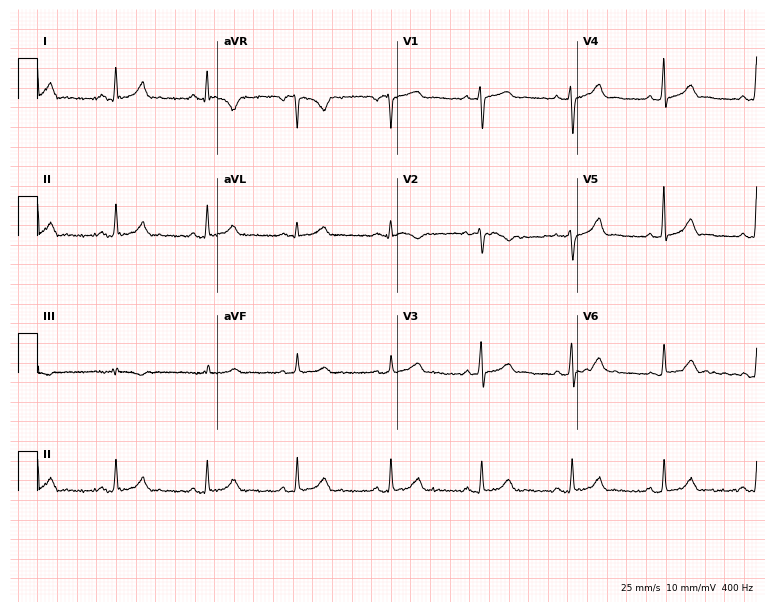
Standard 12-lead ECG recorded from a 21-year-old female. Read as a normal ECG.